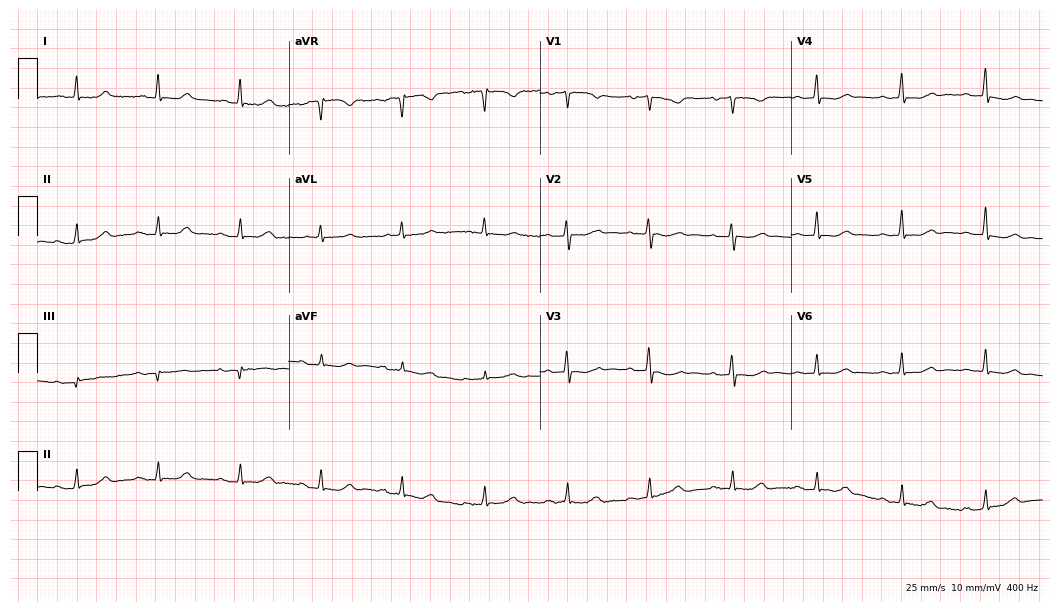
12-lead ECG from a 69-year-old woman. Screened for six findings — first-degree AV block, right bundle branch block (RBBB), left bundle branch block (LBBB), sinus bradycardia, atrial fibrillation (AF), sinus tachycardia — none is recorded. Findings outside these six are not listed.